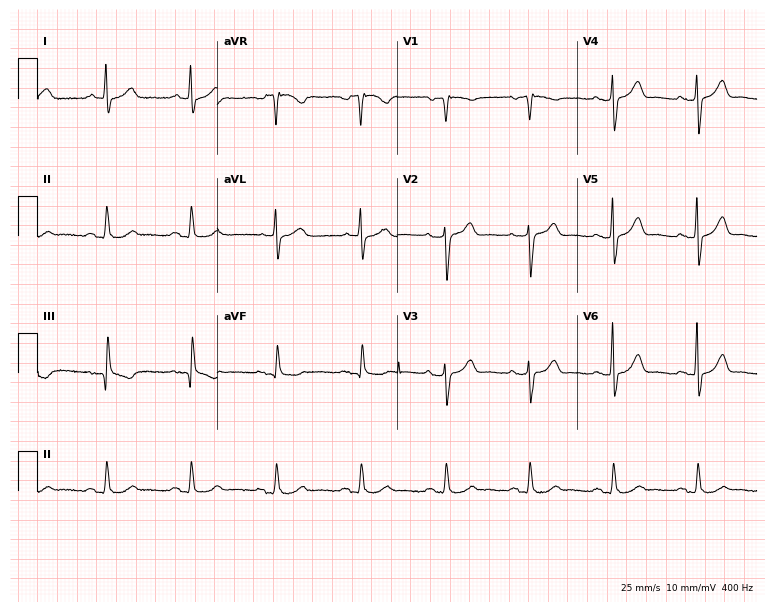
Standard 12-lead ECG recorded from a 79-year-old man. Read as a normal ECG.